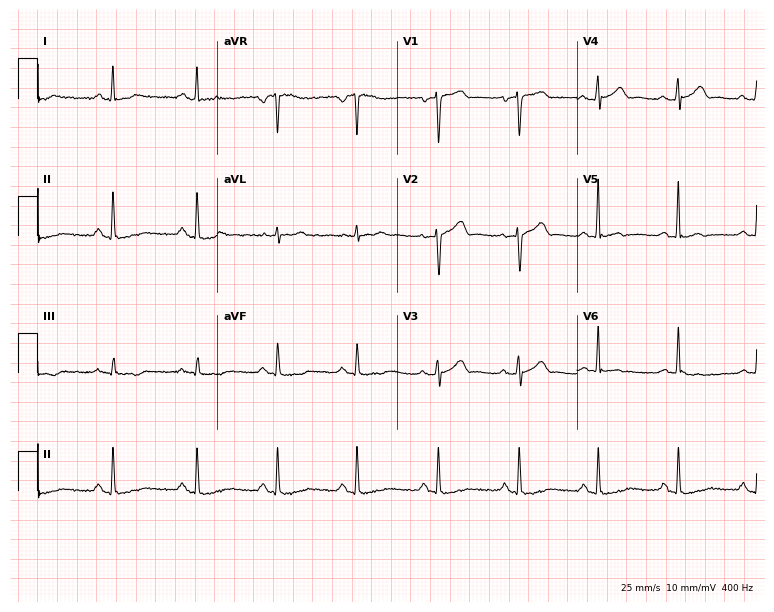
Resting 12-lead electrocardiogram. Patient: a male, 44 years old. None of these six findings is recorded: first-degree AV block, right bundle branch block, left bundle branch block, sinus bradycardia, atrial fibrillation, sinus tachycardia. Only these six findings were labelled.